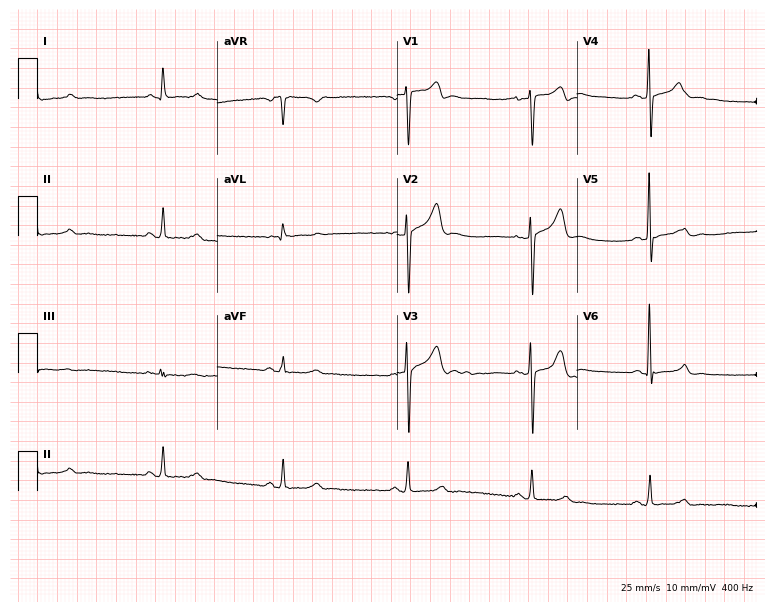
12-lead ECG from a female patient, 59 years old. No first-degree AV block, right bundle branch block, left bundle branch block, sinus bradycardia, atrial fibrillation or sinus tachycardia recorded for this tracing.